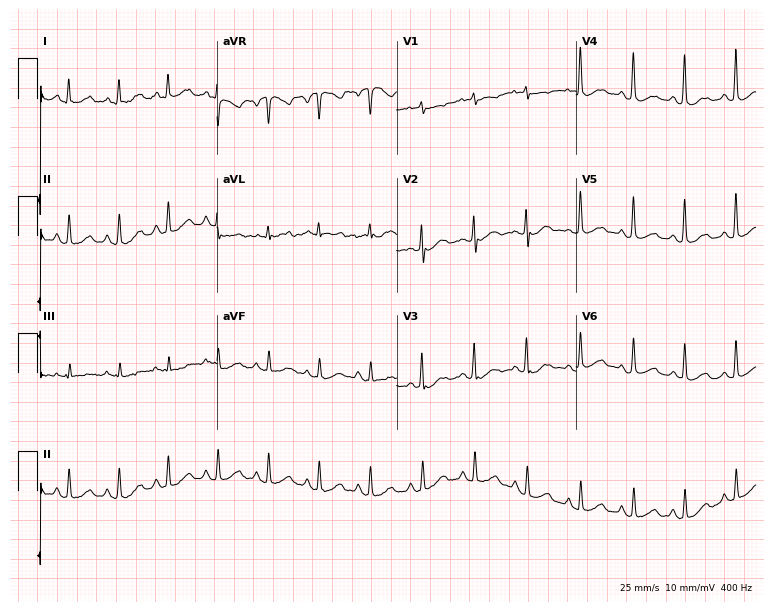
ECG — a 47-year-old female. Findings include sinus tachycardia (a sinus rate of 100 beats per minute or more).